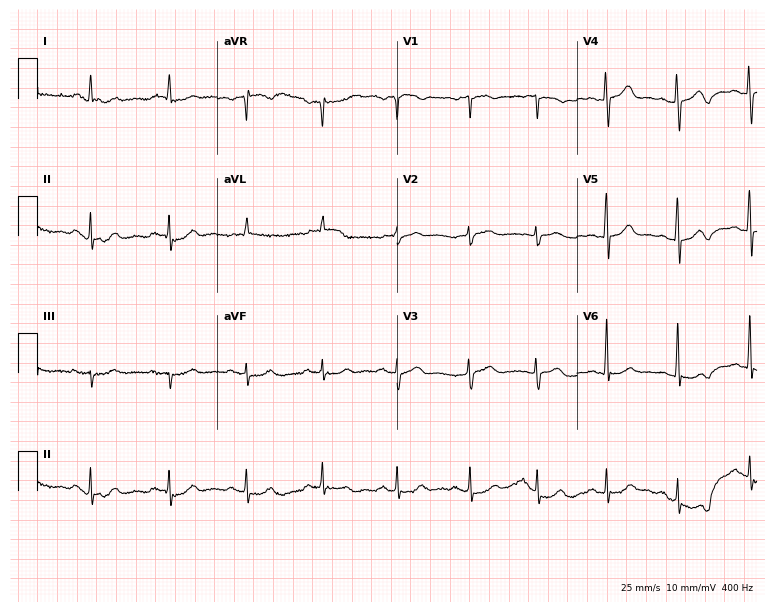
Standard 12-lead ECG recorded from a 68-year-old man. None of these six findings is recorded: first-degree AV block, right bundle branch block, left bundle branch block, sinus bradycardia, atrial fibrillation, sinus tachycardia.